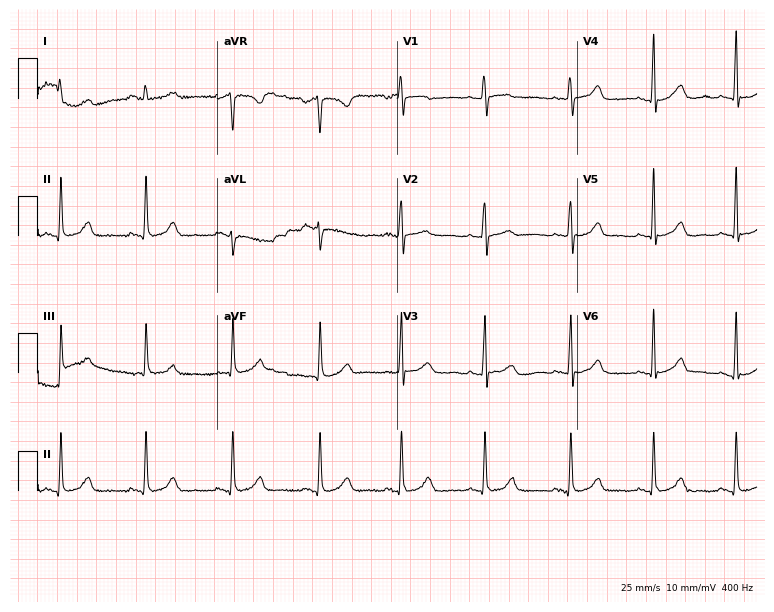
Resting 12-lead electrocardiogram. Patient: a 31-year-old female. Read as a normal ECG.